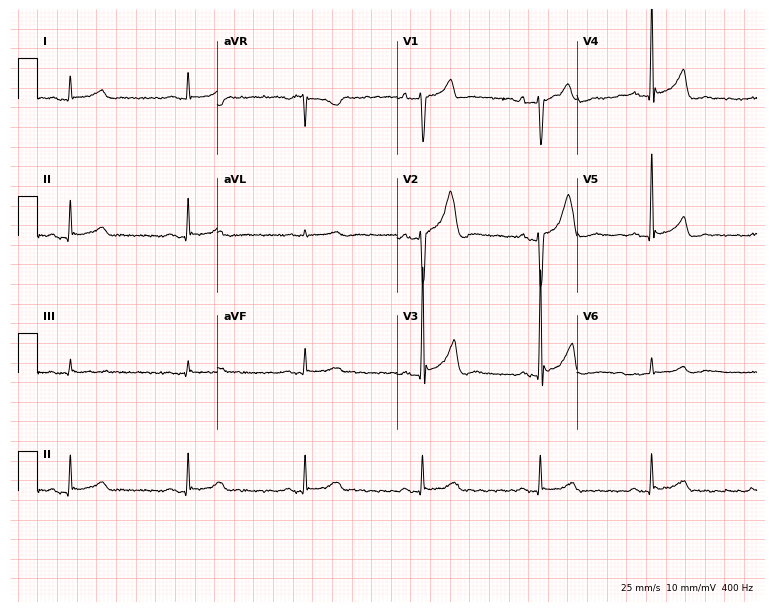
12-lead ECG (7.3-second recording at 400 Hz) from a 43-year-old man. Findings include sinus bradycardia (a sinus rate of 50 beats per minute or less).